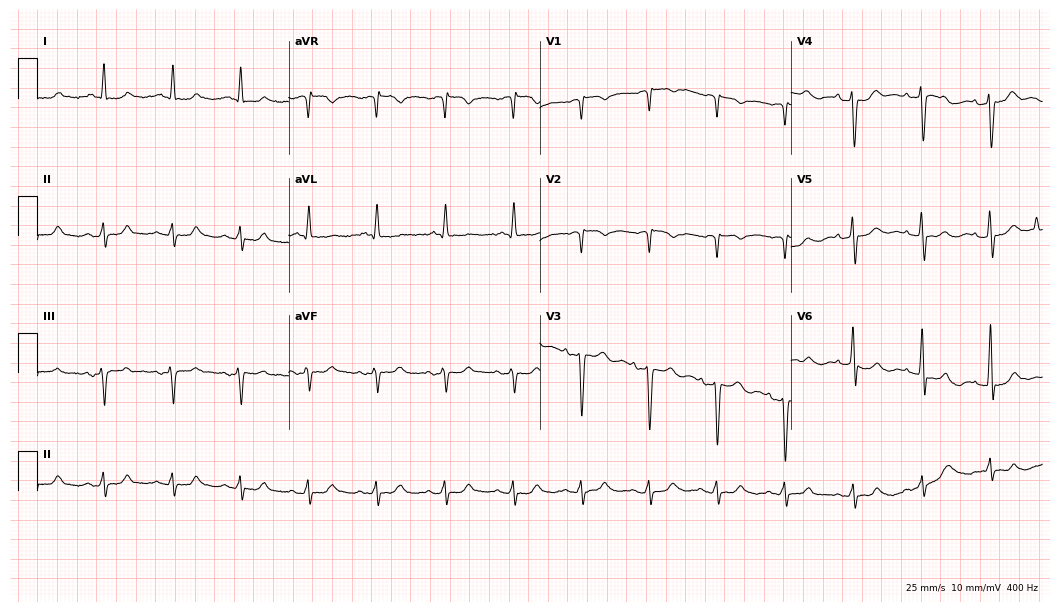
Resting 12-lead electrocardiogram. Patient: a man, 64 years old. None of these six findings is recorded: first-degree AV block, right bundle branch block (RBBB), left bundle branch block (LBBB), sinus bradycardia, atrial fibrillation (AF), sinus tachycardia. Other findings, if any, are not listed.